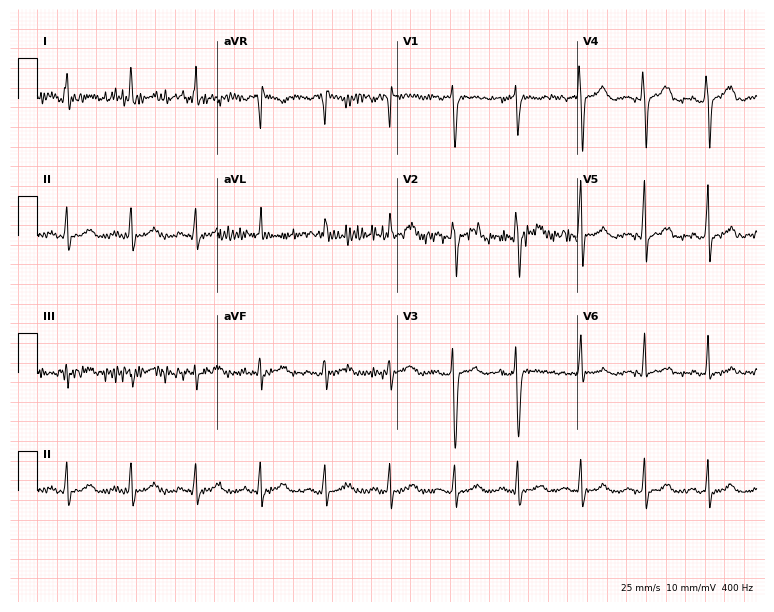
Electrocardiogram (7.3-second recording at 400 Hz), a female patient, 54 years old. Of the six screened findings (first-degree AV block, right bundle branch block, left bundle branch block, sinus bradycardia, atrial fibrillation, sinus tachycardia), none is recorded. Other findings, if any, are not listed.